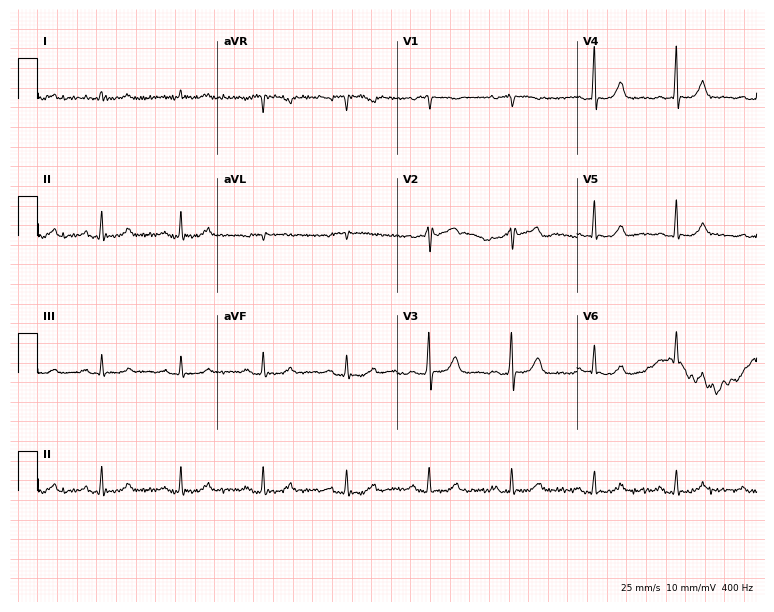
Standard 12-lead ECG recorded from a 62-year-old woman. None of these six findings is recorded: first-degree AV block, right bundle branch block, left bundle branch block, sinus bradycardia, atrial fibrillation, sinus tachycardia. Only these six findings were labelled.